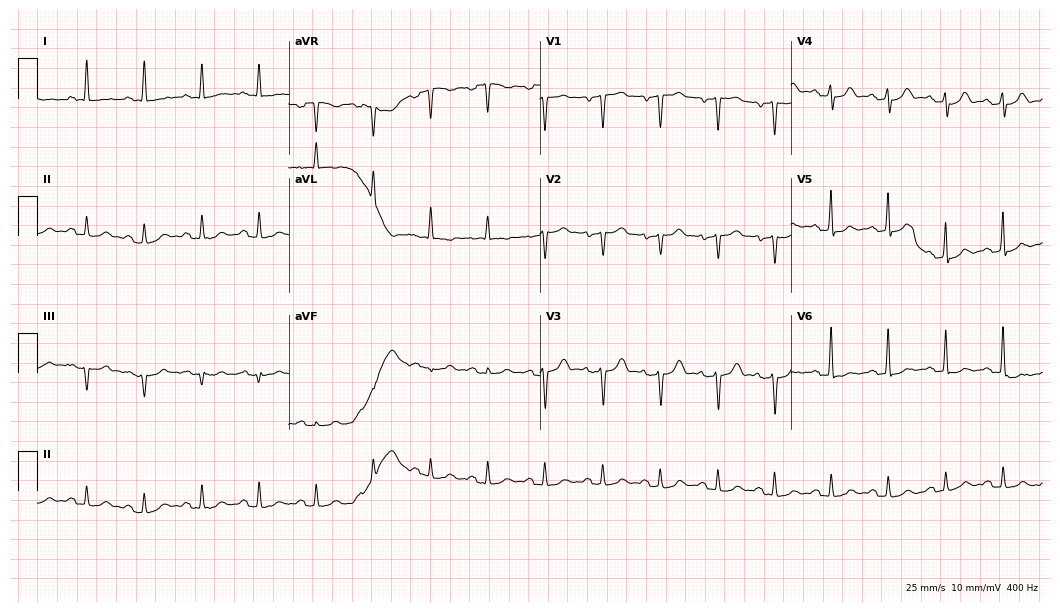
Standard 12-lead ECG recorded from a 64-year-old male patient. Read as a normal ECG.